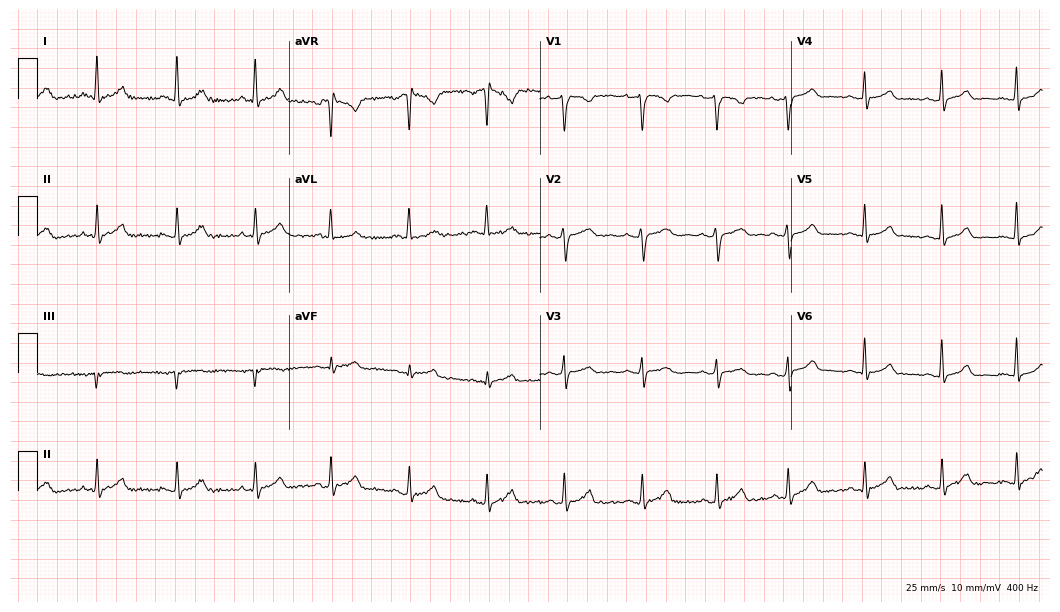
ECG (10.2-second recording at 400 Hz) — an 18-year-old female. Labelled as a normal ECG.